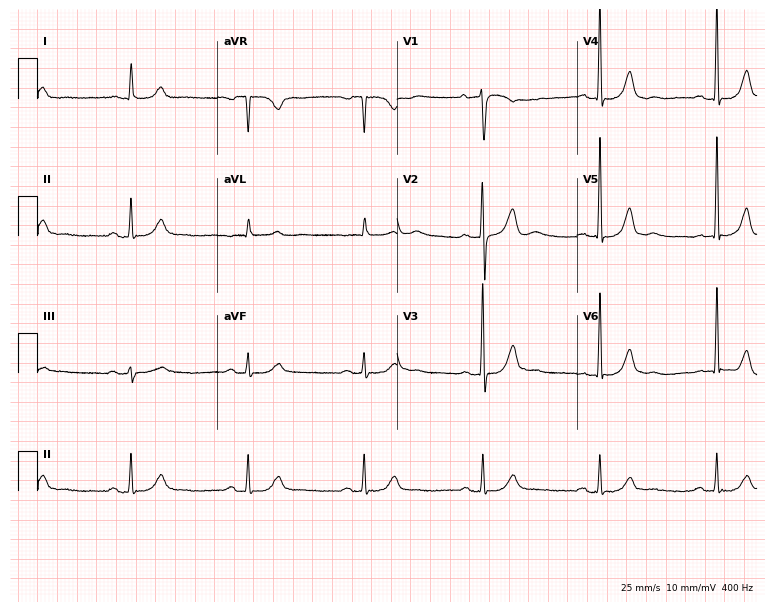
12-lead ECG (7.3-second recording at 400 Hz) from an 83-year-old male. Screened for six findings — first-degree AV block, right bundle branch block, left bundle branch block, sinus bradycardia, atrial fibrillation, sinus tachycardia — none is recorded.